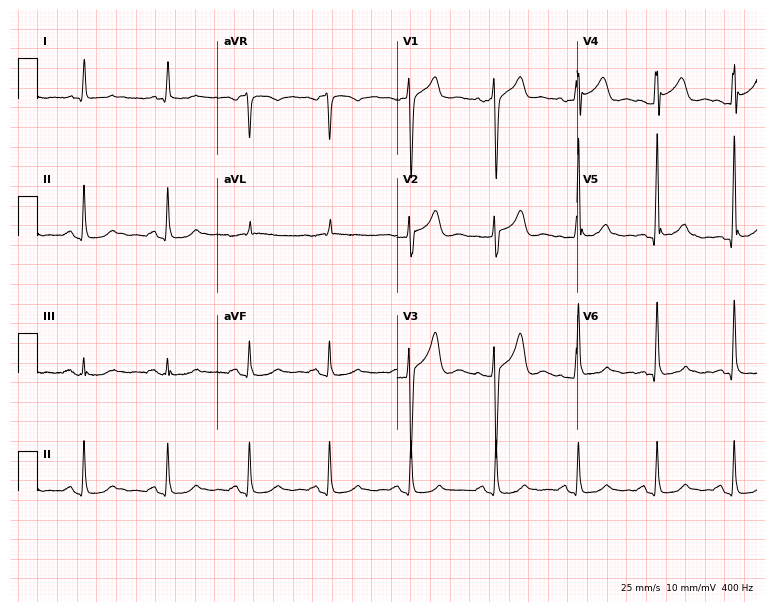
Electrocardiogram (7.3-second recording at 400 Hz), a man, 47 years old. Overall reading on record: normal ECG.